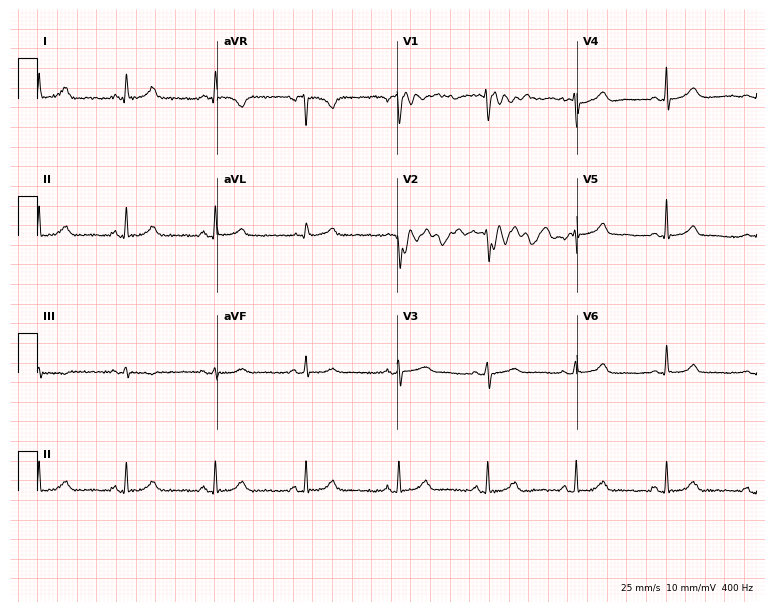
ECG (7.3-second recording at 400 Hz) — a 37-year-old female. Screened for six findings — first-degree AV block, right bundle branch block, left bundle branch block, sinus bradycardia, atrial fibrillation, sinus tachycardia — none is recorded. Other findings, if any, are not listed.